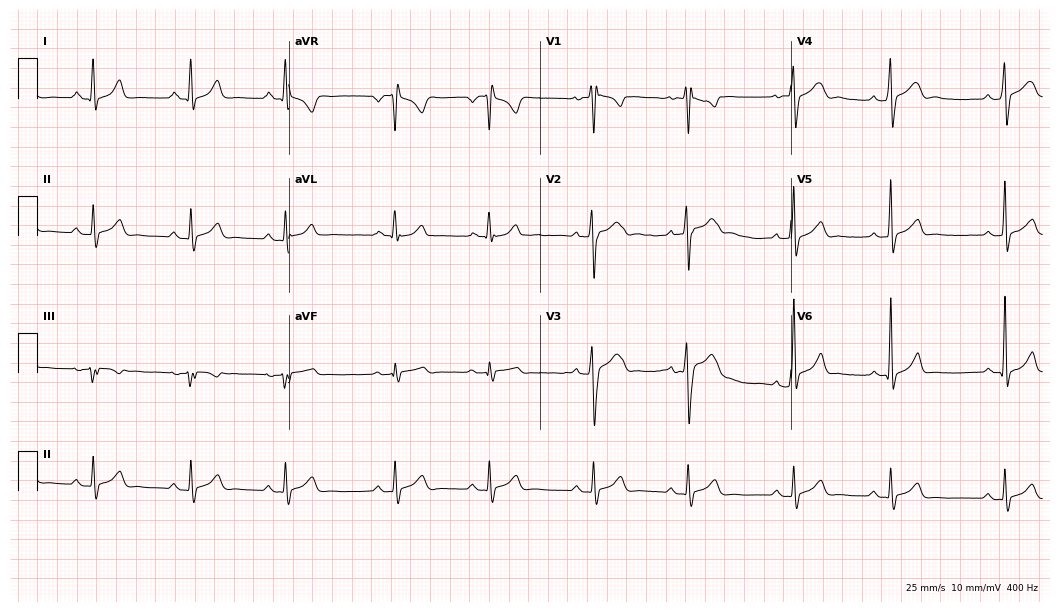
12-lead ECG from a male, 21 years old. No first-degree AV block, right bundle branch block (RBBB), left bundle branch block (LBBB), sinus bradycardia, atrial fibrillation (AF) or sinus tachycardia recorded for this tracing. Only these six findings were labelled.